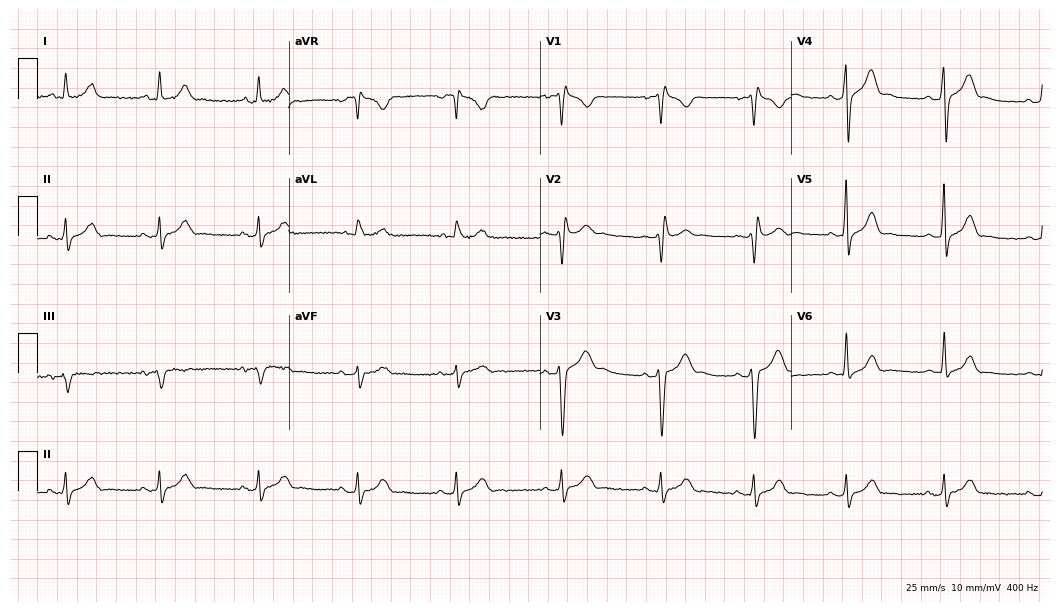
Standard 12-lead ECG recorded from a 30-year-old man. The tracing shows right bundle branch block (RBBB).